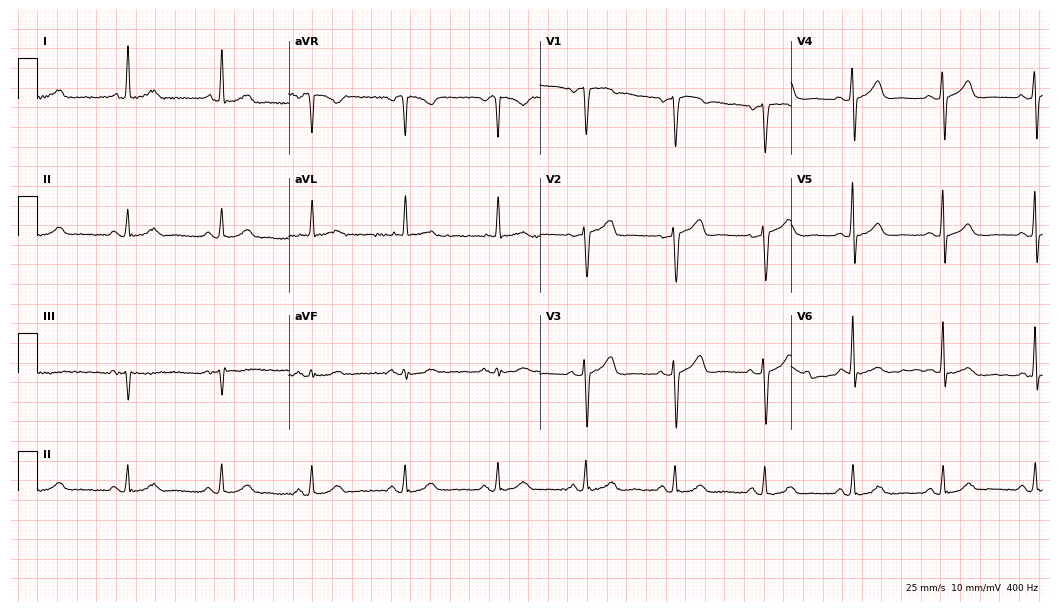
12-lead ECG (10.2-second recording at 400 Hz) from a female, 60 years old. Labelled as a normal ECG.